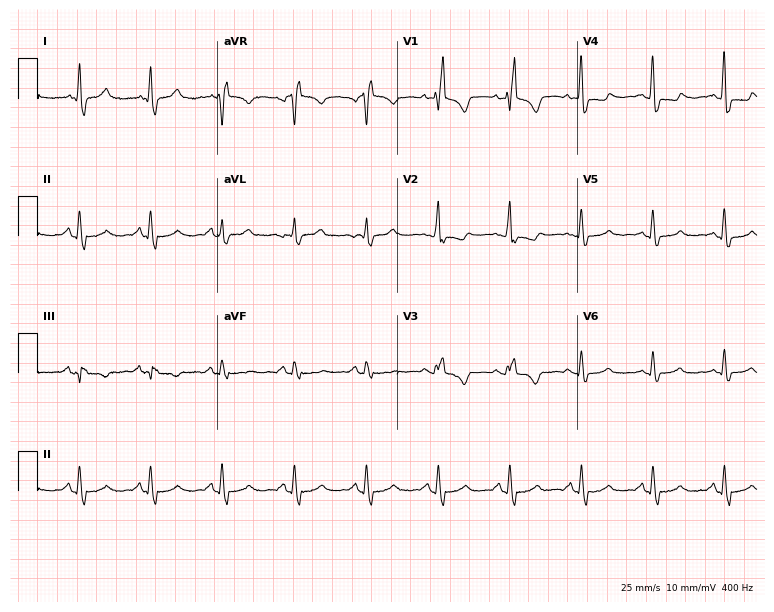
Resting 12-lead electrocardiogram (7.3-second recording at 400 Hz). Patient: a female, 71 years old. The tracing shows right bundle branch block.